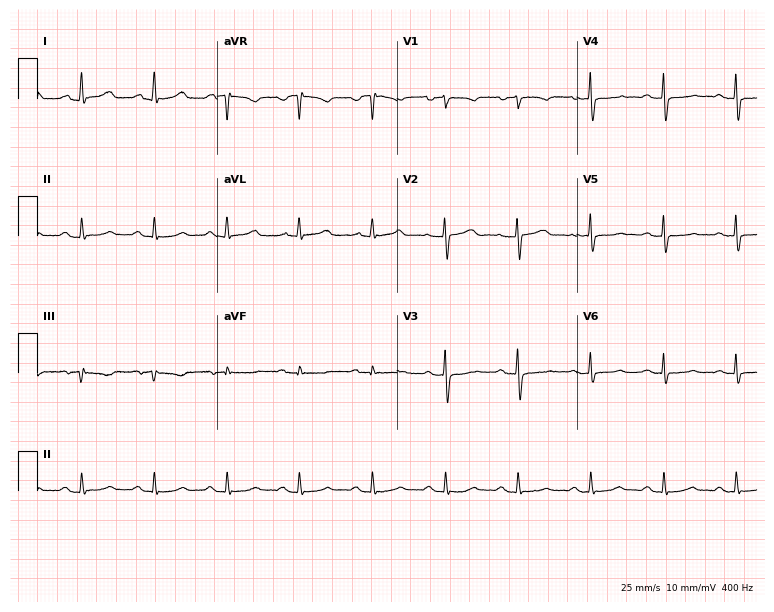
Resting 12-lead electrocardiogram. Patient: a woman, 56 years old. Read as a normal ECG.